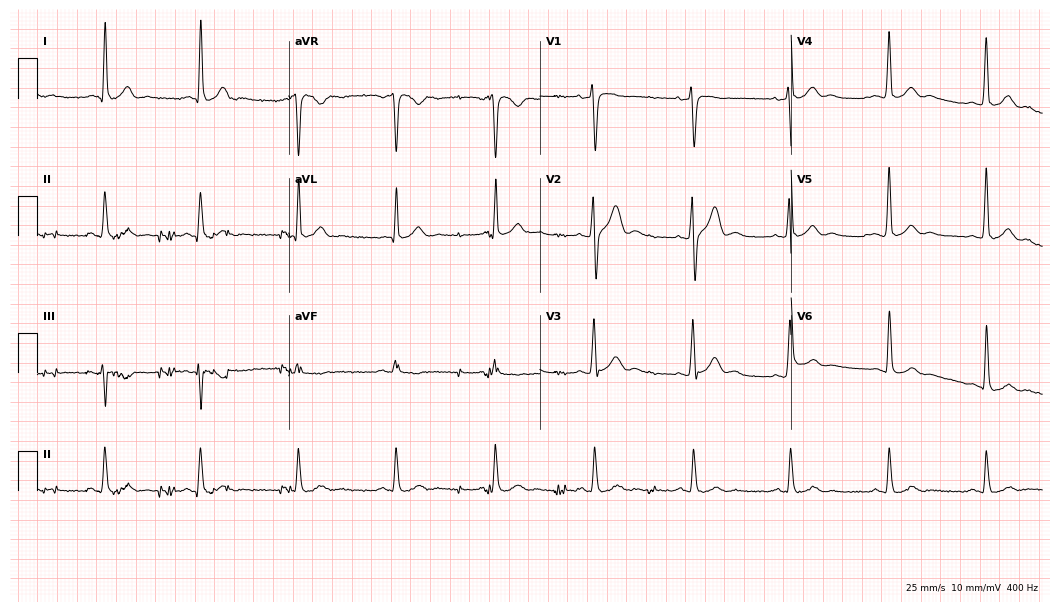
12-lead ECG from a 34-year-old man. Recorded interpretation: within normal limits.